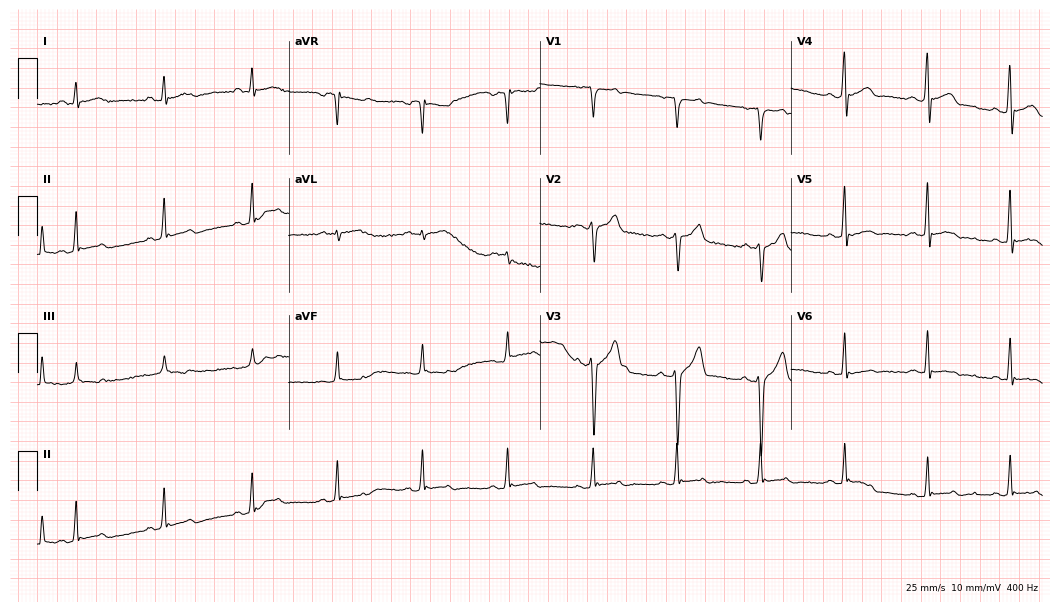
12-lead ECG from a 45-year-old man. Labelled as a normal ECG.